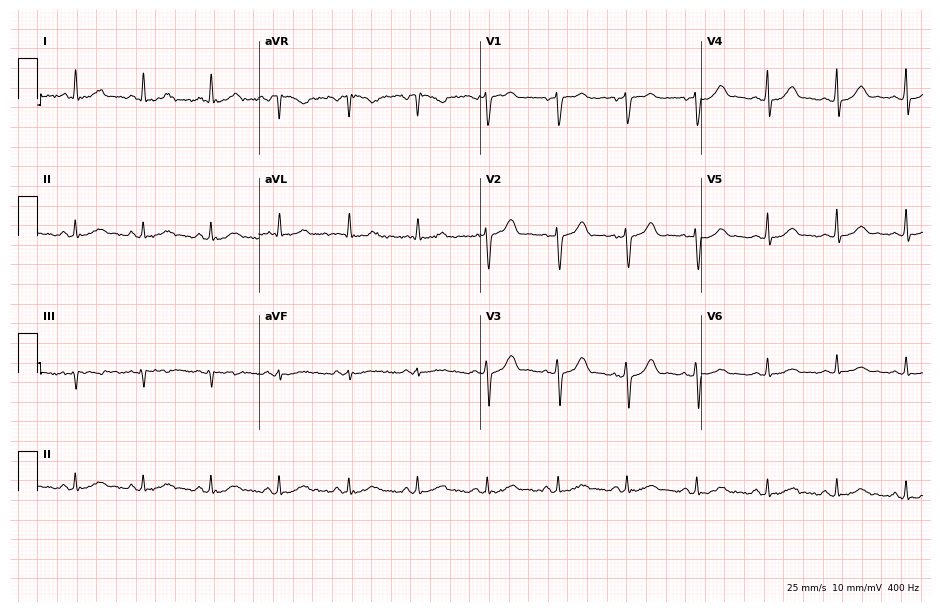
12-lead ECG from a 42-year-old female patient. No first-degree AV block, right bundle branch block (RBBB), left bundle branch block (LBBB), sinus bradycardia, atrial fibrillation (AF) or sinus tachycardia recorded for this tracing.